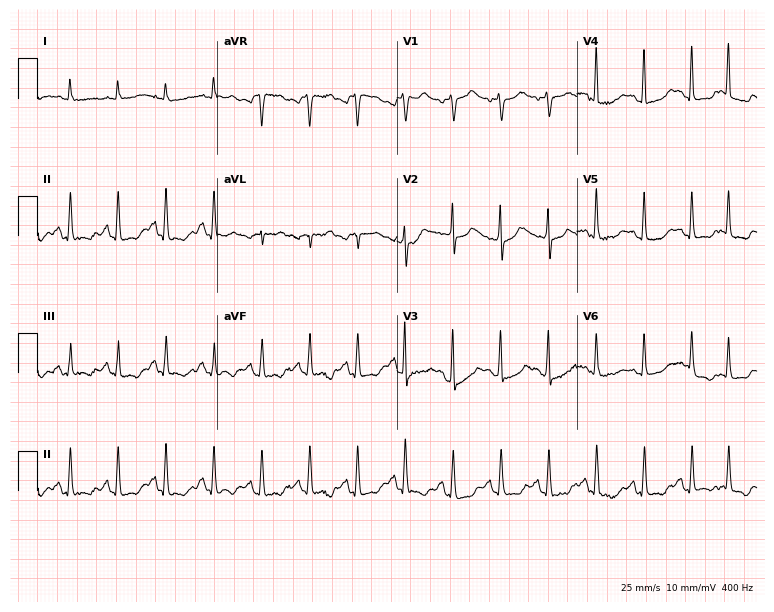
Standard 12-lead ECG recorded from a 60-year-old female patient (7.3-second recording at 400 Hz). None of these six findings is recorded: first-degree AV block, right bundle branch block, left bundle branch block, sinus bradycardia, atrial fibrillation, sinus tachycardia. Other findings, if any, are not listed.